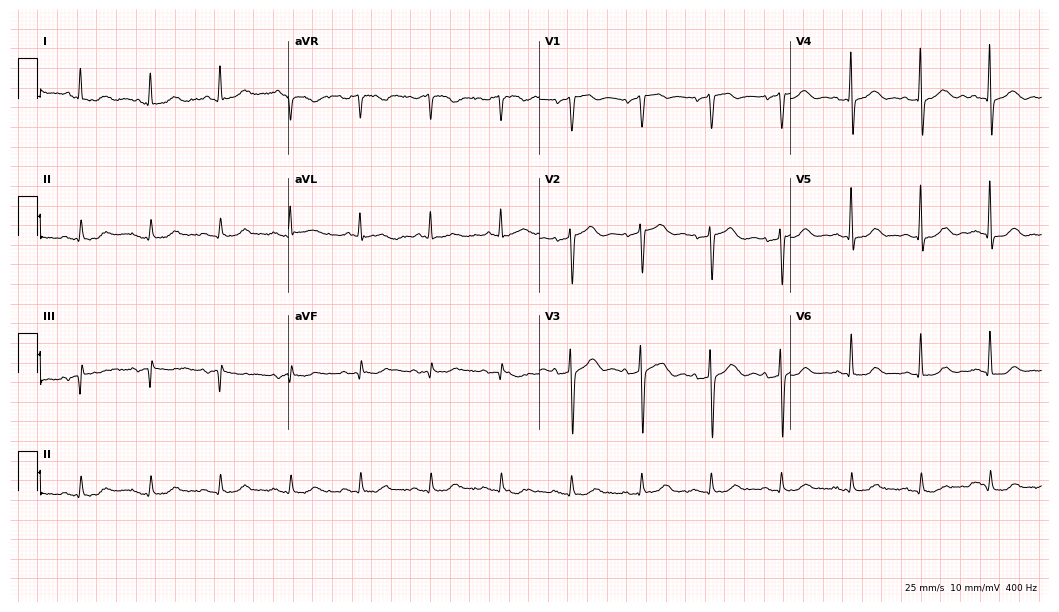
Resting 12-lead electrocardiogram. Patient: a 75-year-old man. Read as a normal ECG.